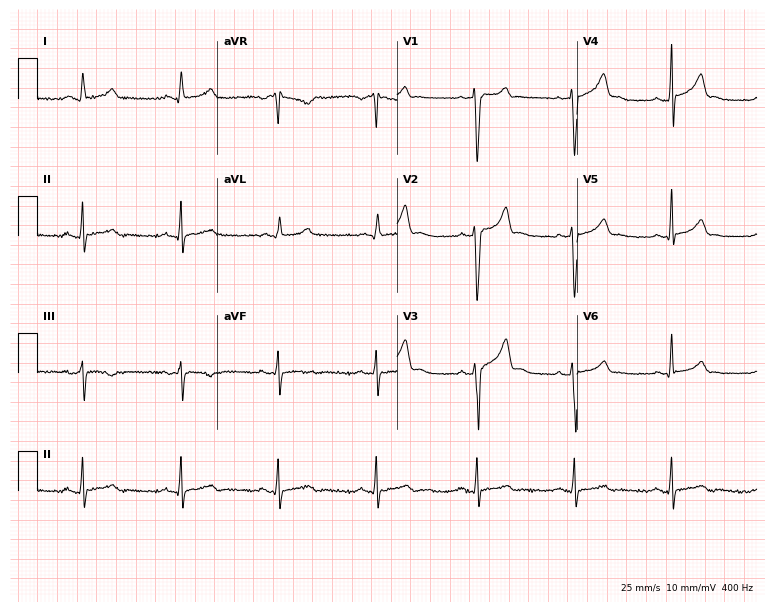
Electrocardiogram, a 24-year-old male patient. Of the six screened findings (first-degree AV block, right bundle branch block, left bundle branch block, sinus bradycardia, atrial fibrillation, sinus tachycardia), none is recorded.